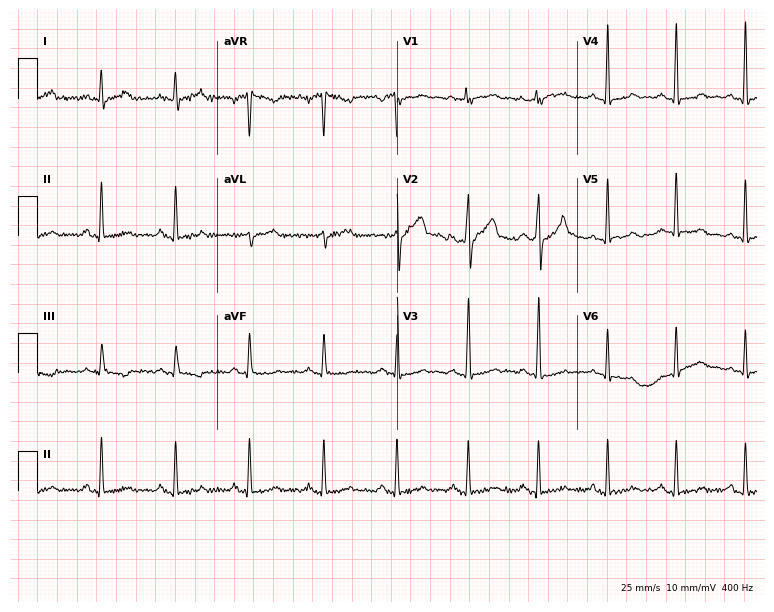
Standard 12-lead ECG recorded from a 38-year-old male patient. None of these six findings is recorded: first-degree AV block, right bundle branch block, left bundle branch block, sinus bradycardia, atrial fibrillation, sinus tachycardia.